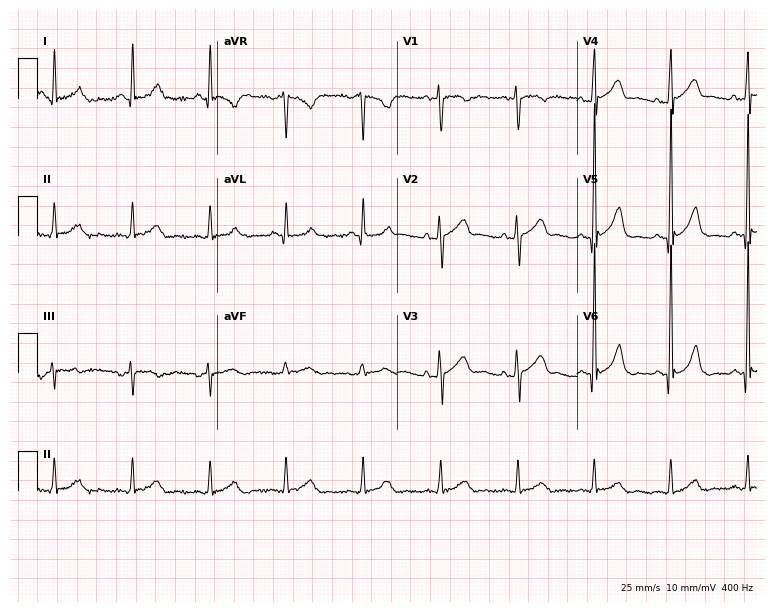
ECG — a 59-year-old male patient. Labelled as a normal ECG.